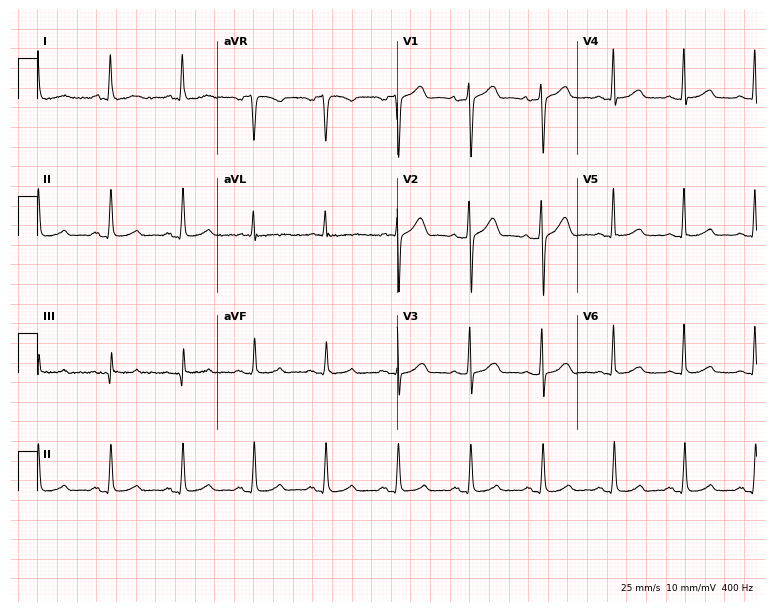
ECG (7.3-second recording at 400 Hz) — a female patient, 52 years old. Labelled as a normal ECG.